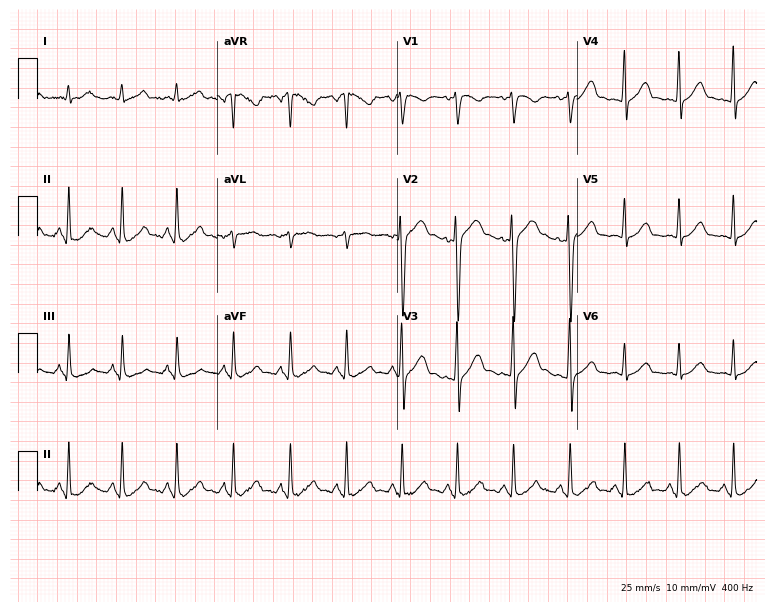
ECG (7.3-second recording at 400 Hz) — a female, 35 years old. Findings include sinus tachycardia (a sinus rate of 100 beats per minute or more).